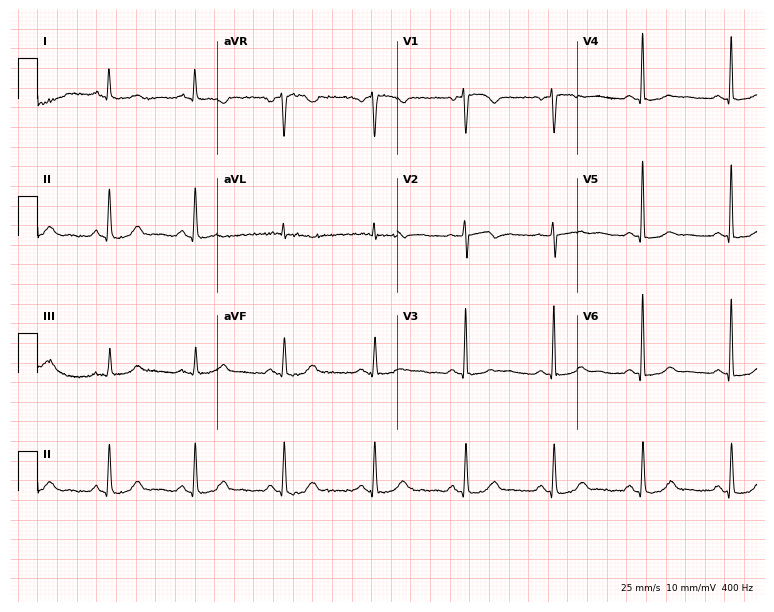
Resting 12-lead electrocardiogram (7.3-second recording at 400 Hz). Patient: a 72-year-old female. None of these six findings is recorded: first-degree AV block, right bundle branch block, left bundle branch block, sinus bradycardia, atrial fibrillation, sinus tachycardia.